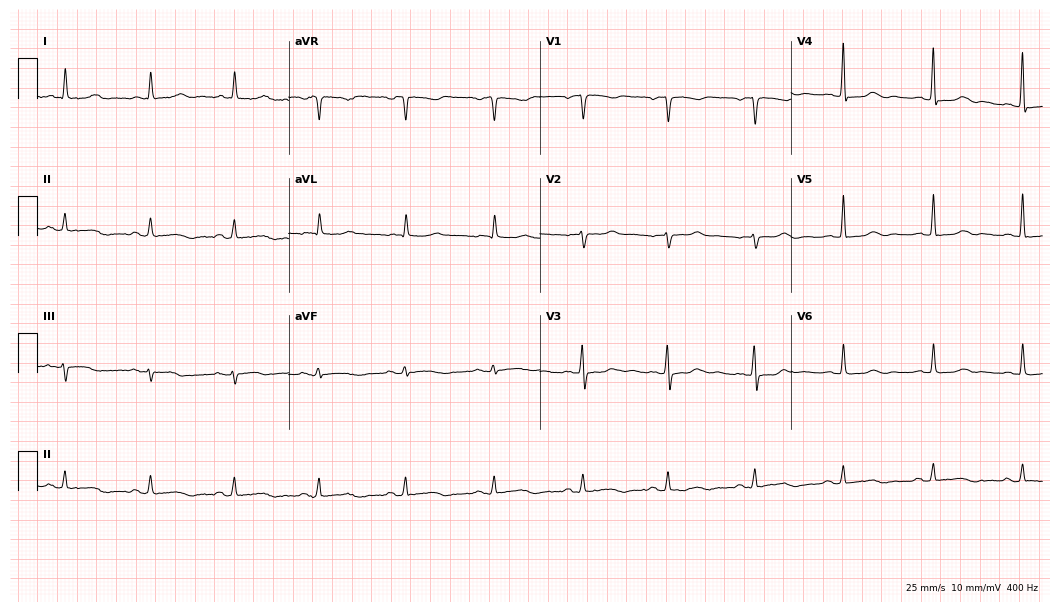
Standard 12-lead ECG recorded from a female, 82 years old (10.2-second recording at 400 Hz). None of these six findings is recorded: first-degree AV block, right bundle branch block, left bundle branch block, sinus bradycardia, atrial fibrillation, sinus tachycardia. Only these six findings were labelled.